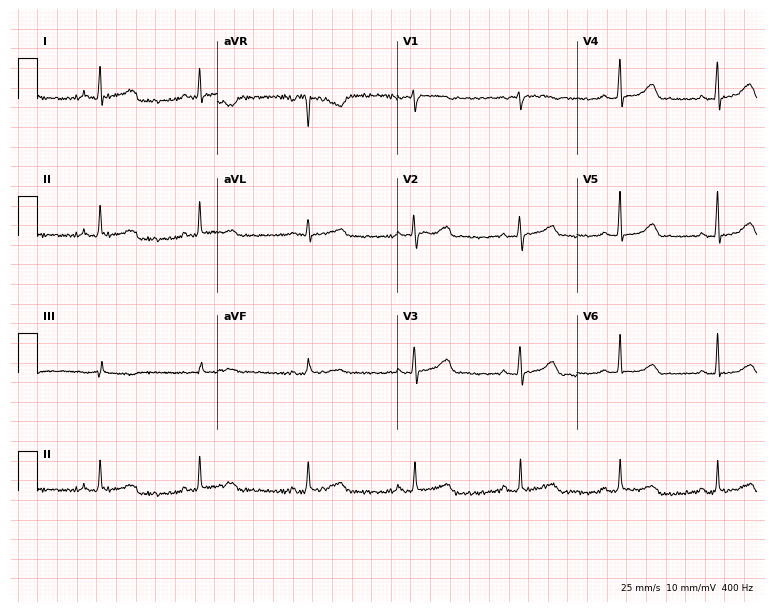
Electrocardiogram (7.3-second recording at 400 Hz), a 33-year-old female. Overall reading on record: normal ECG.